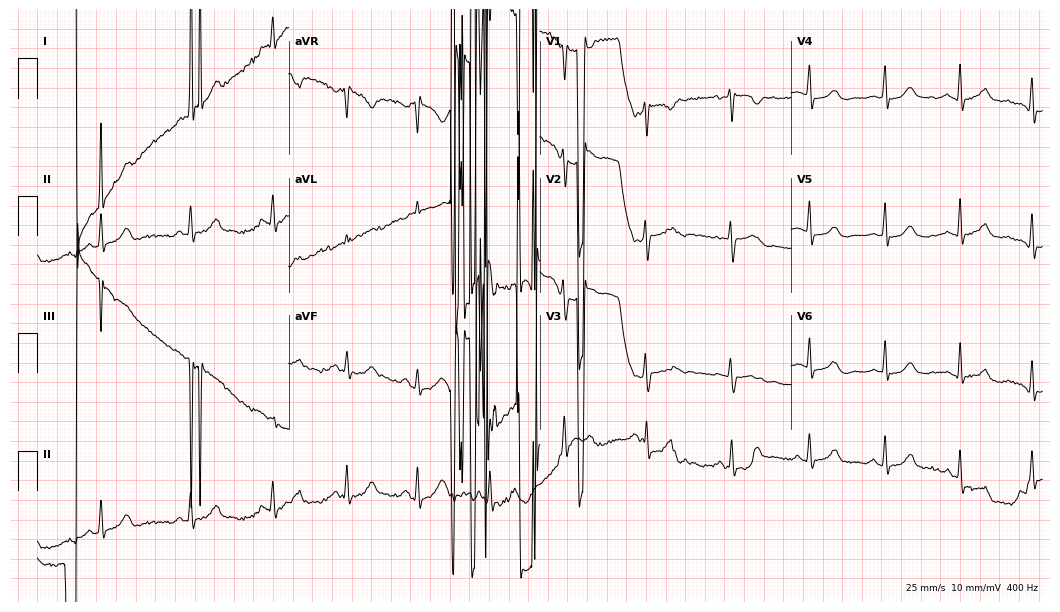
ECG (10.2-second recording at 400 Hz) — a 23-year-old female. Screened for six findings — first-degree AV block, right bundle branch block (RBBB), left bundle branch block (LBBB), sinus bradycardia, atrial fibrillation (AF), sinus tachycardia — none is recorded. Findings outside these six are not listed.